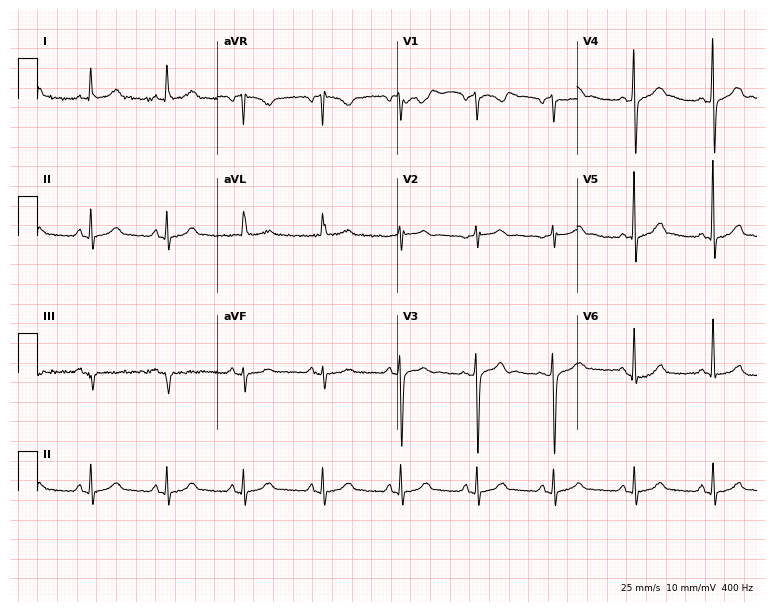
ECG — a woman, 77 years old. Labelled as a normal ECG.